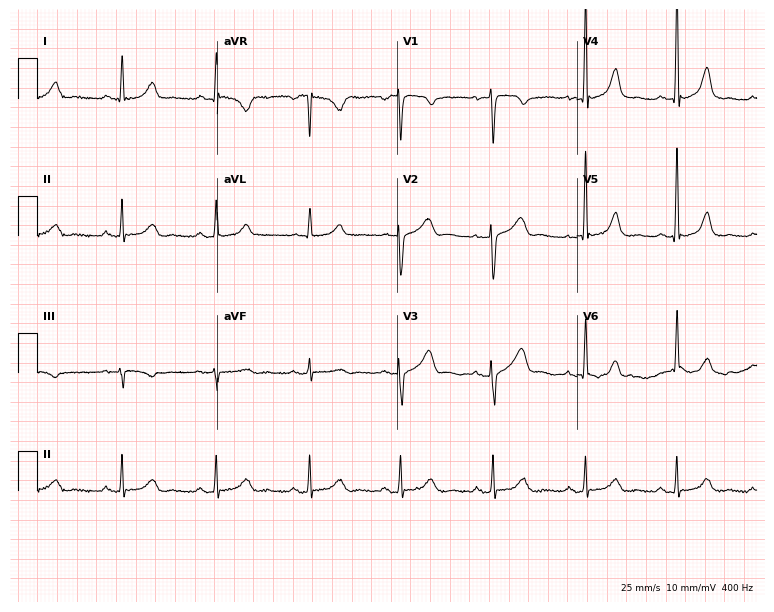
Electrocardiogram (7.3-second recording at 400 Hz), a woman, 54 years old. Of the six screened findings (first-degree AV block, right bundle branch block, left bundle branch block, sinus bradycardia, atrial fibrillation, sinus tachycardia), none is recorded.